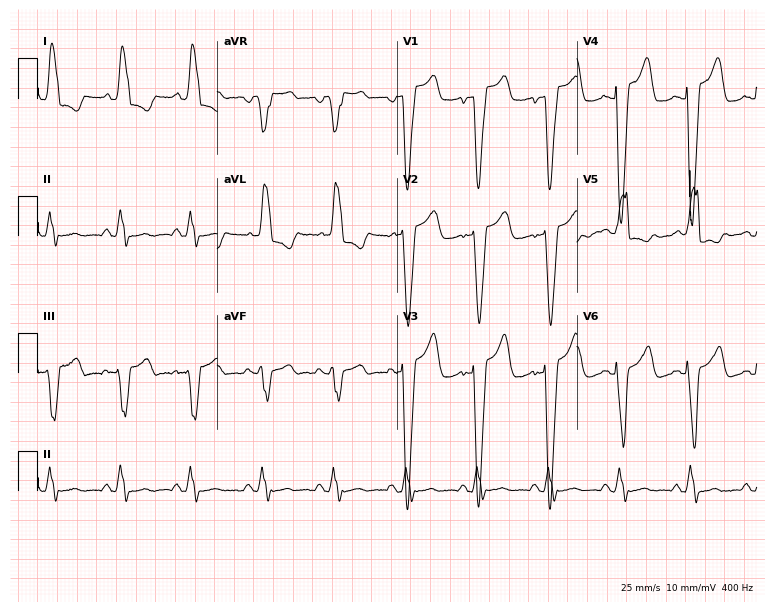
Resting 12-lead electrocardiogram. Patient: a female, 69 years old. The tracing shows left bundle branch block.